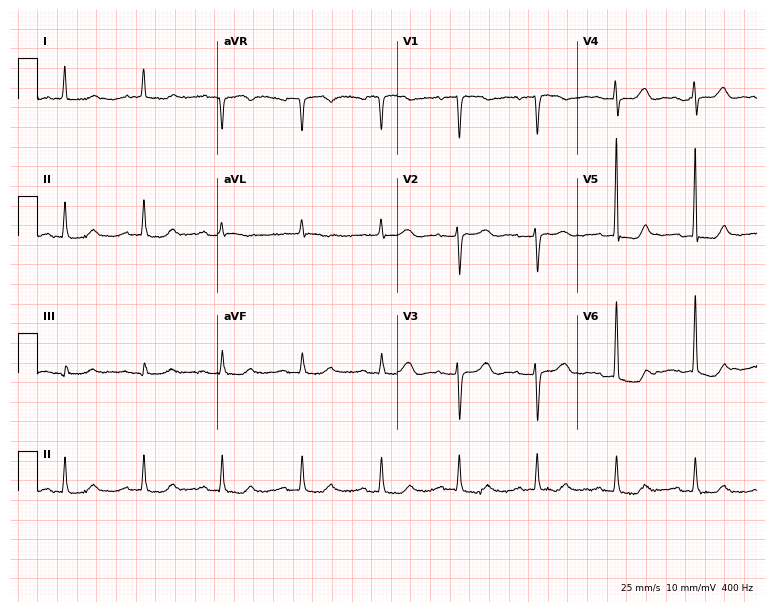
Electrocardiogram, an 83-year-old female patient. Of the six screened findings (first-degree AV block, right bundle branch block (RBBB), left bundle branch block (LBBB), sinus bradycardia, atrial fibrillation (AF), sinus tachycardia), none is recorded.